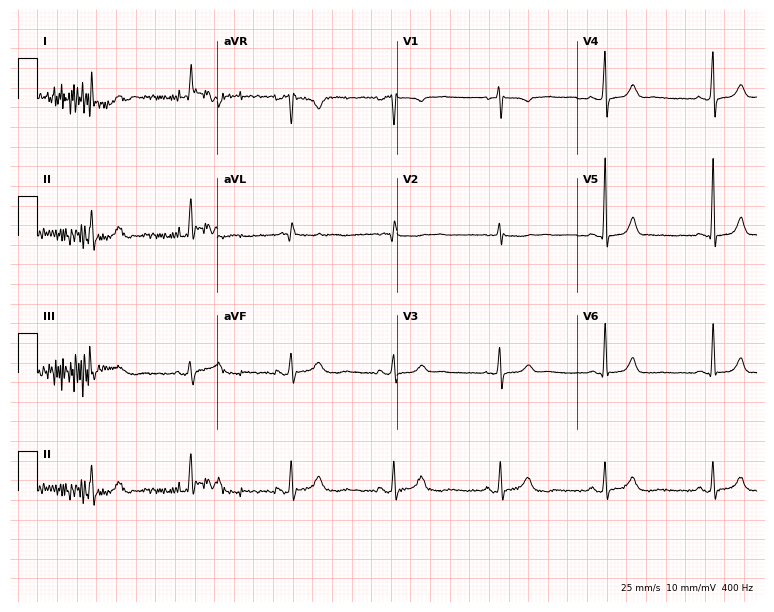
ECG — a woman, 68 years old. Screened for six findings — first-degree AV block, right bundle branch block, left bundle branch block, sinus bradycardia, atrial fibrillation, sinus tachycardia — none is recorded. Other findings, if any, are not listed.